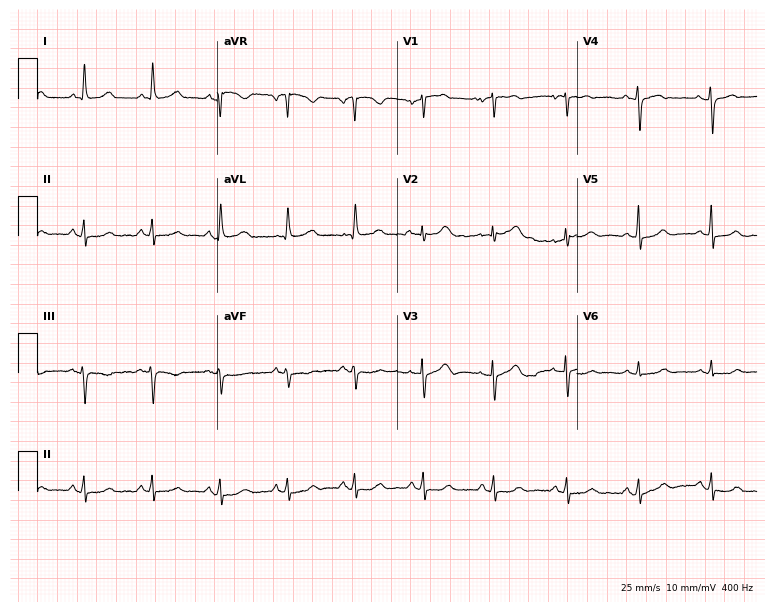
12-lead ECG from a 59-year-old female patient. Labelled as a normal ECG.